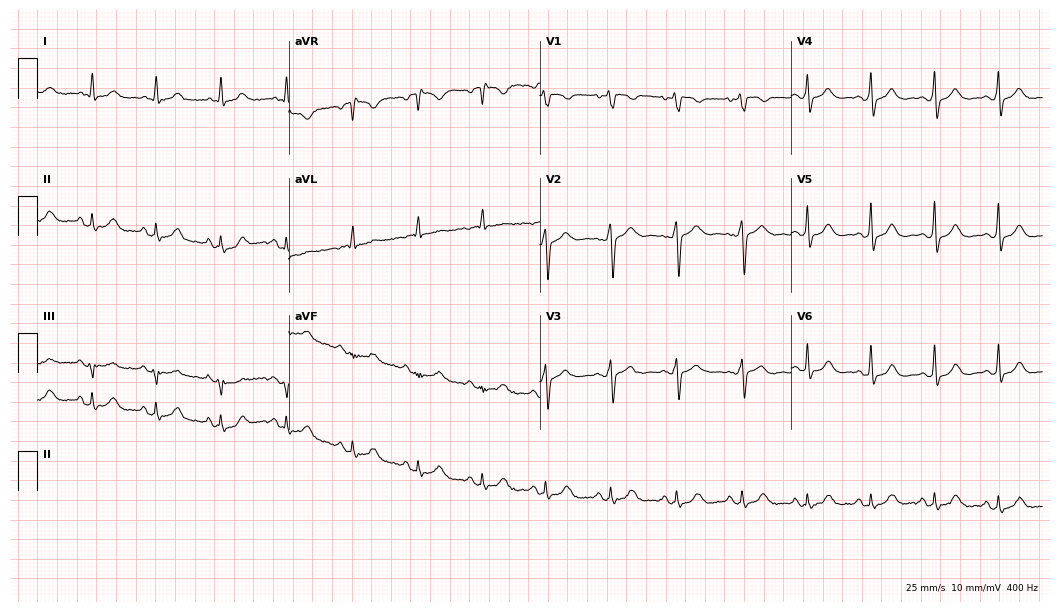
12-lead ECG from a female patient, 52 years old. Recorded interpretation: within normal limits.